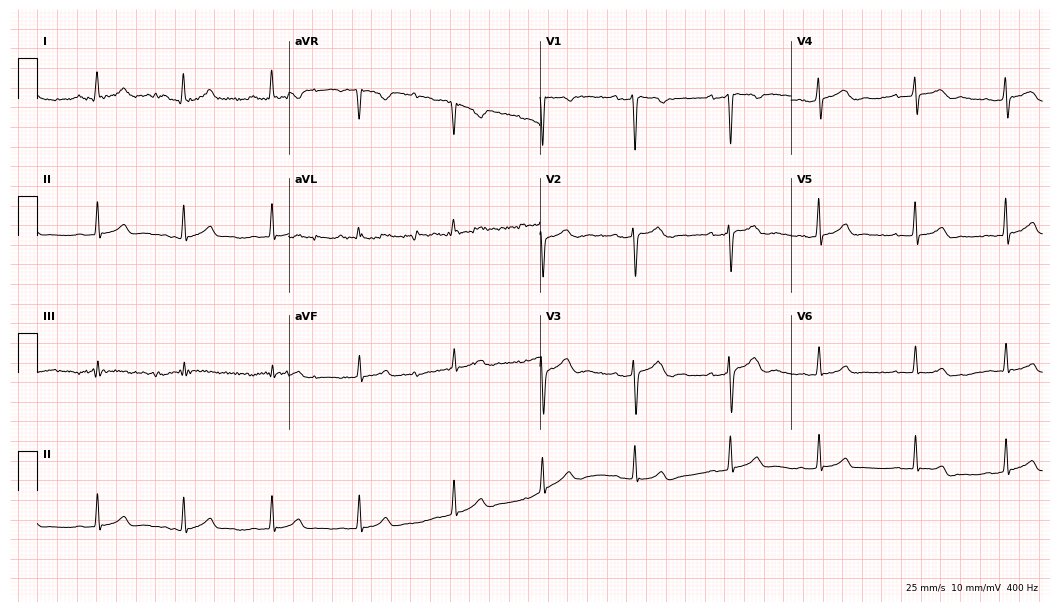
ECG — a man, 24 years old. Labelled as a normal ECG.